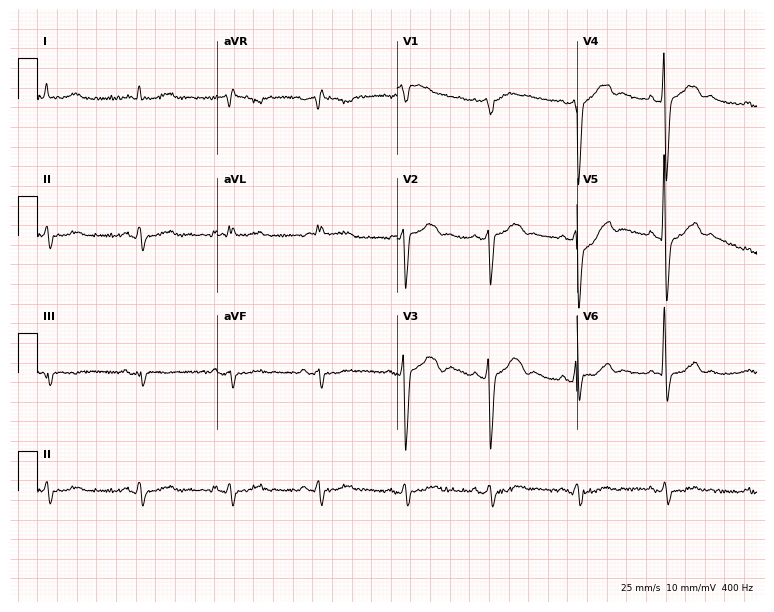
Electrocardiogram (7.3-second recording at 400 Hz), an 86-year-old man. Of the six screened findings (first-degree AV block, right bundle branch block (RBBB), left bundle branch block (LBBB), sinus bradycardia, atrial fibrillation (AF), sinus tachycardia), none is recorded. Only these six findings were labelled.